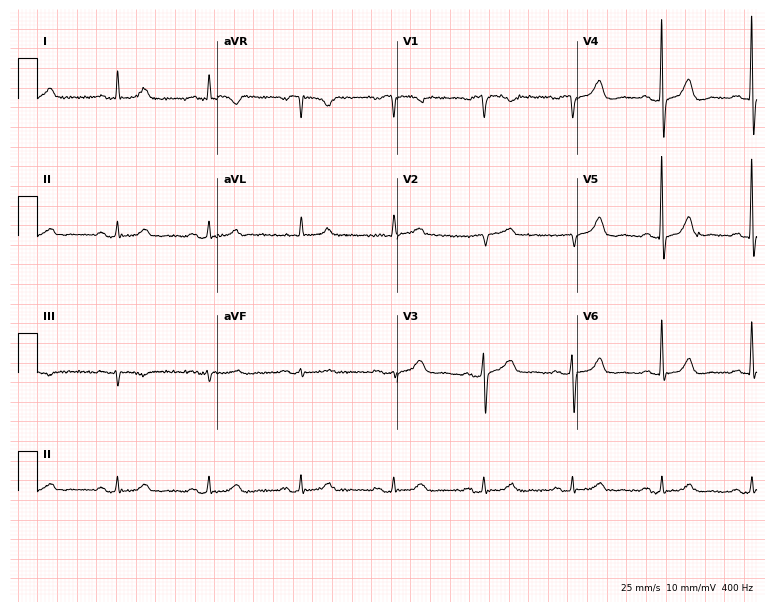
ECG (7.3-second recording at 400 Hz) — a female patient, 79 years old. Labelled as a normal ECG.